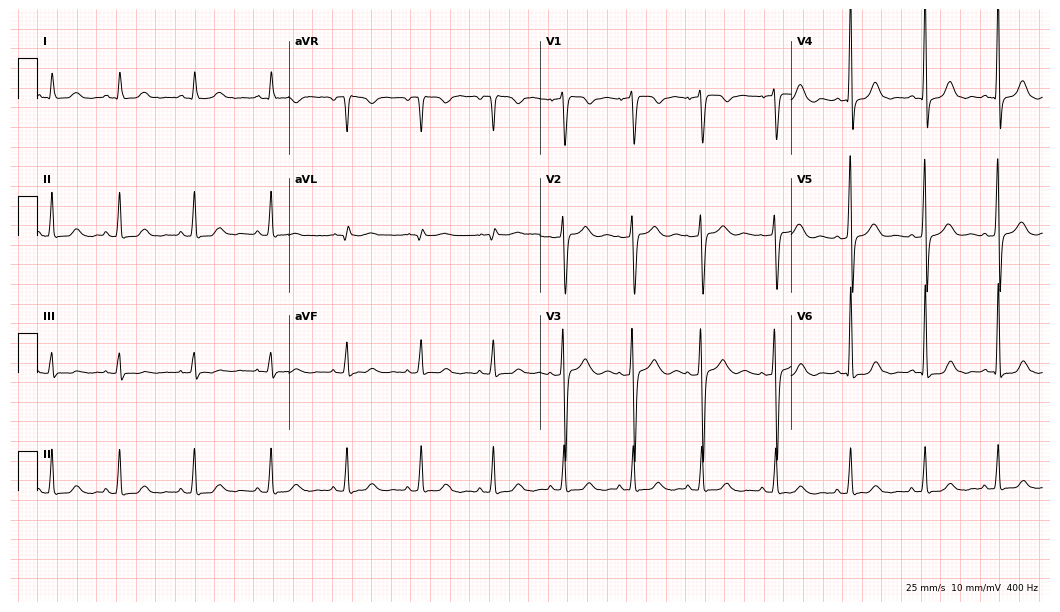
12-lead ECG from a woman, 48 years old. Labelled as a normal ECG.